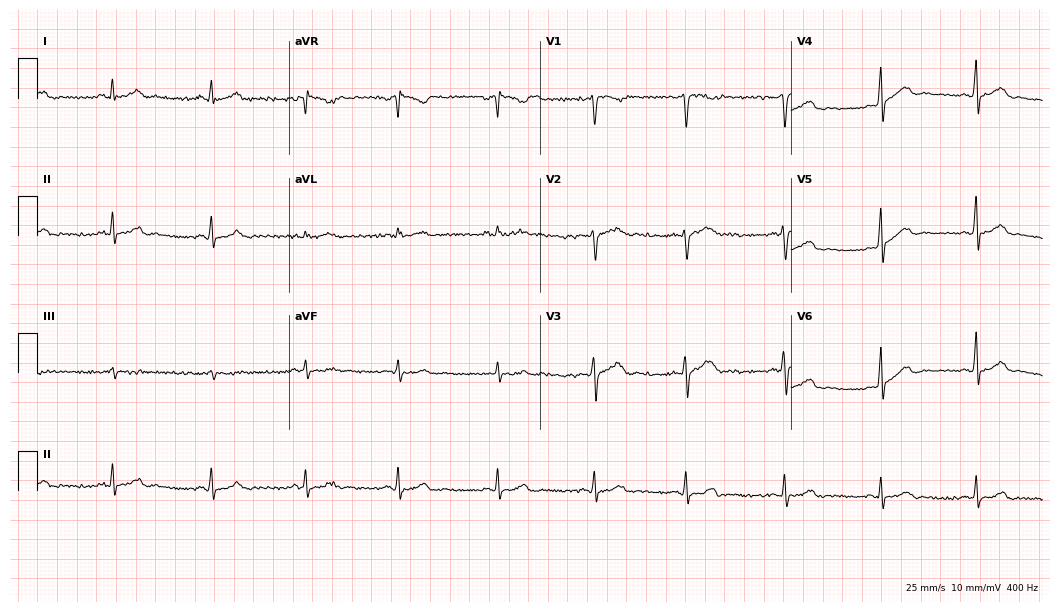
ECG — a 23-year-old female. Labelled as a normal ECG.